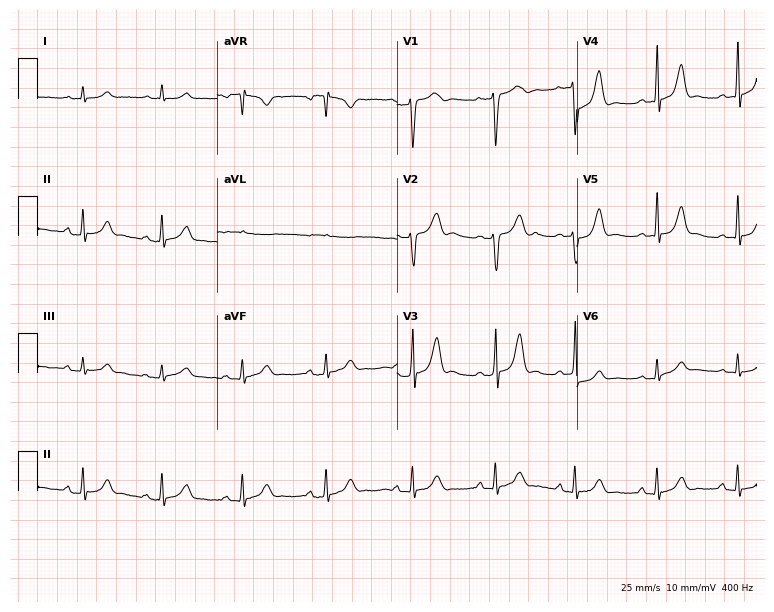
Resting 12-lead electrocardiogram (7.3-second recording at 400 Hz). Patient: a female, 22 years old. None of these six findings is recorded: first-degree AV block, right bundle branch block, left bundle branch block, sinus bradycardia, atrial fibrillation, sinus tachycardia.